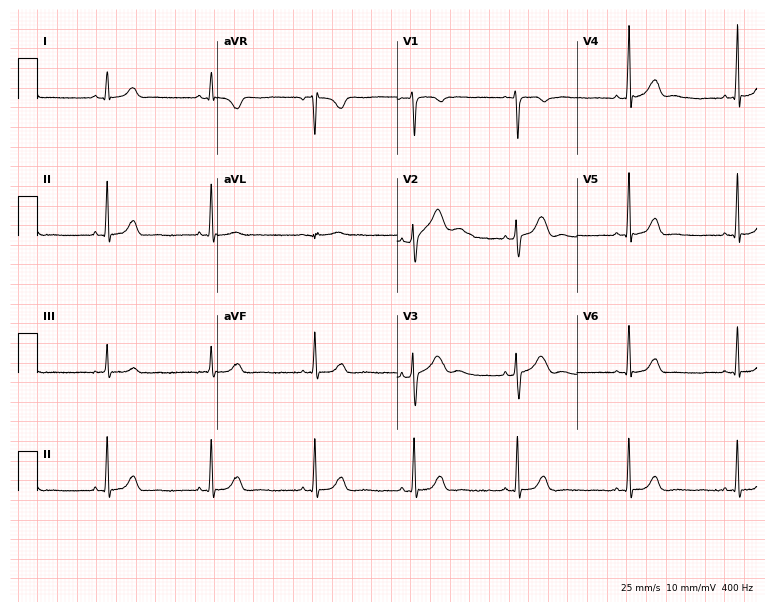
12-lead ECG from a 17-year-old female patient. Labelled as a normal ECG.